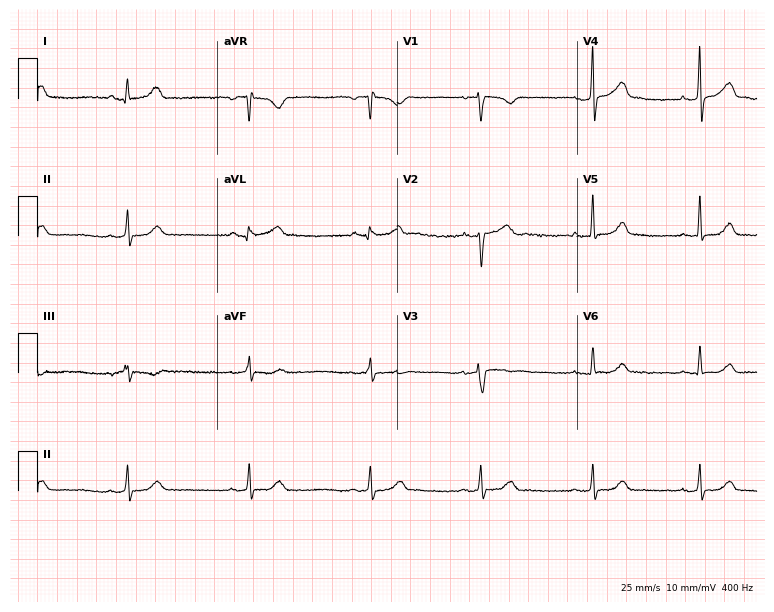
12-lead ECG from a man, 30 years old (7.3-second recording at 400 Hz). No first-degree AV block, right bundle branch block (RBBB), left bundle branch block (LBBB), sinus bradycardia, atrial fibrillation (AF) or sinus tachycardia recorded for this tracing.